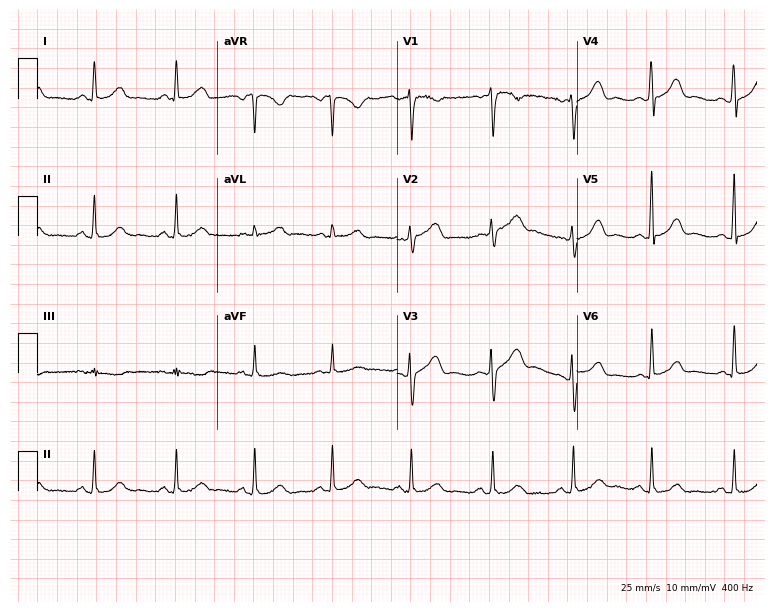
Electrocardiogram, a female, 48 years old. Overall reading on record: normal ECG.